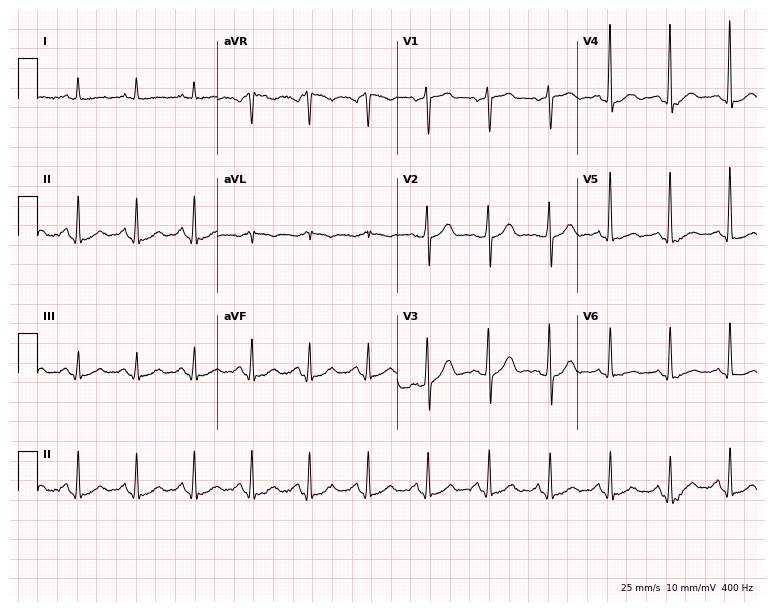
ECG — a 66-year-old male. Labelled as a normal ECG.